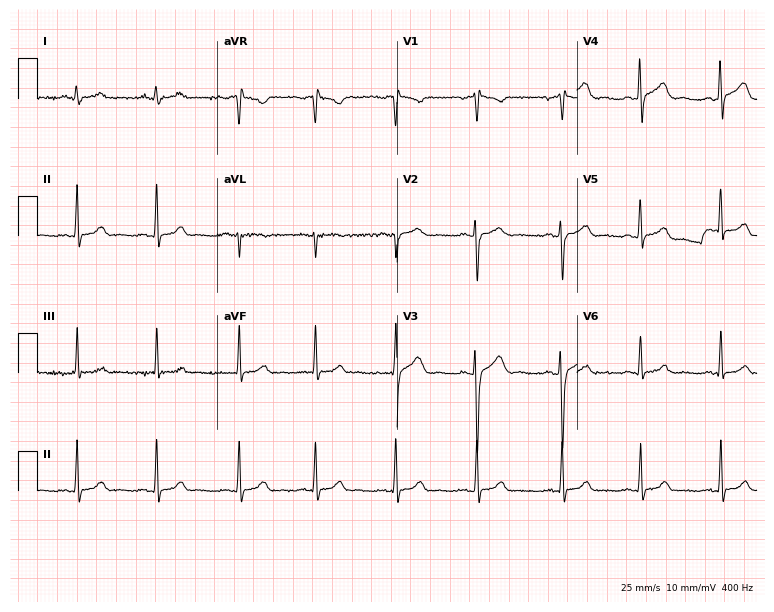
Resting 12-lead electrocardiogram. Patient: a 25-year-old female. None of these six findings is recorded: first-degree AV block, right bundle branch block, left bundle branch block, sinus bradycardia, atrial fibrillation, sinus tachycardia. Only these six findings were labelled.